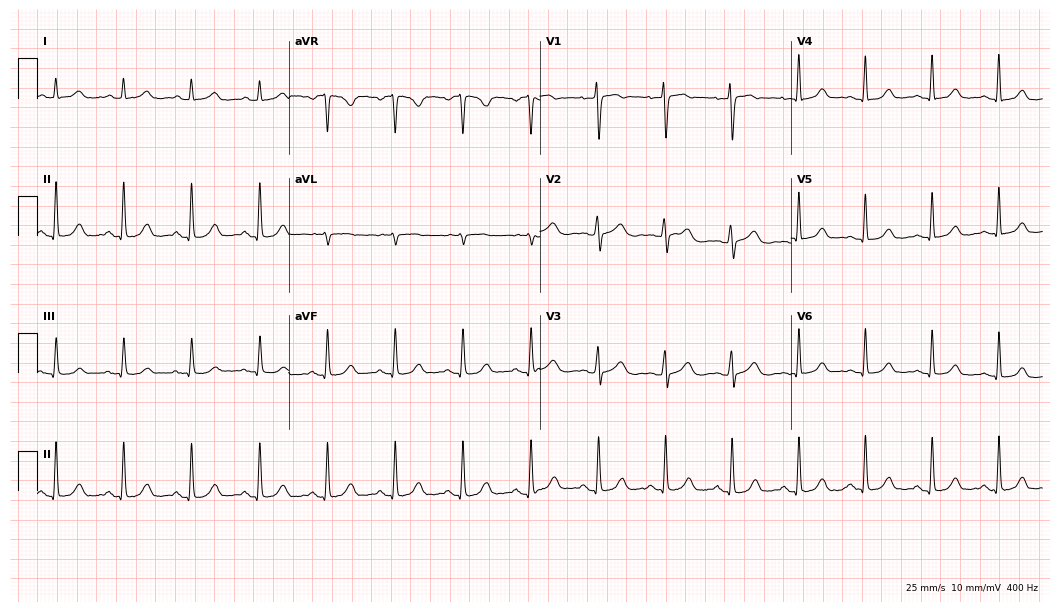
ECG (10.2-second recording at 400 Hz) — a 52-year-old female. Labelled as a normal ECG.